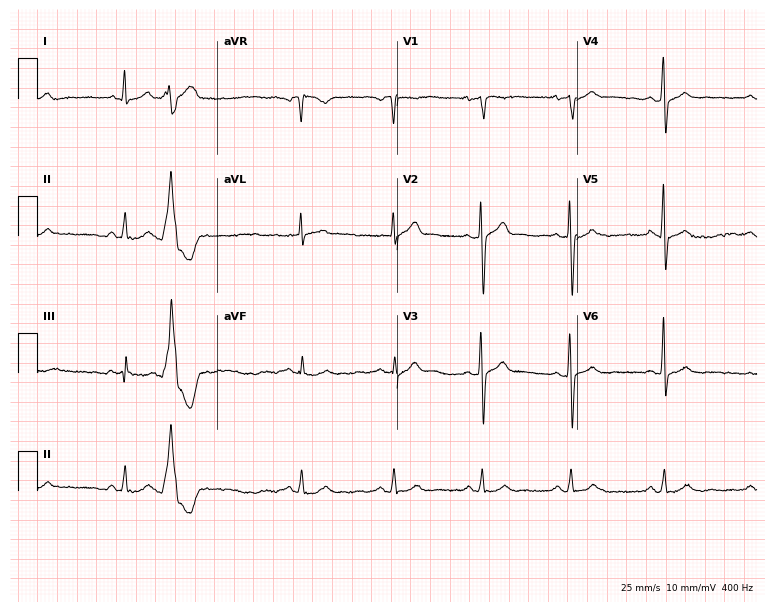
Resting 12-lead electrocardiogram (7.3-second recording at 400 Hz). Patient: a male, 55 years old. None of these six findings is recorded: first-degree AV block, right bundle branch block (RBBB), left bundle branch block (LBBB), sinus bradycardia, atrial fibrillation (AF), sinus tachycardia. Only these six findings were labelled.